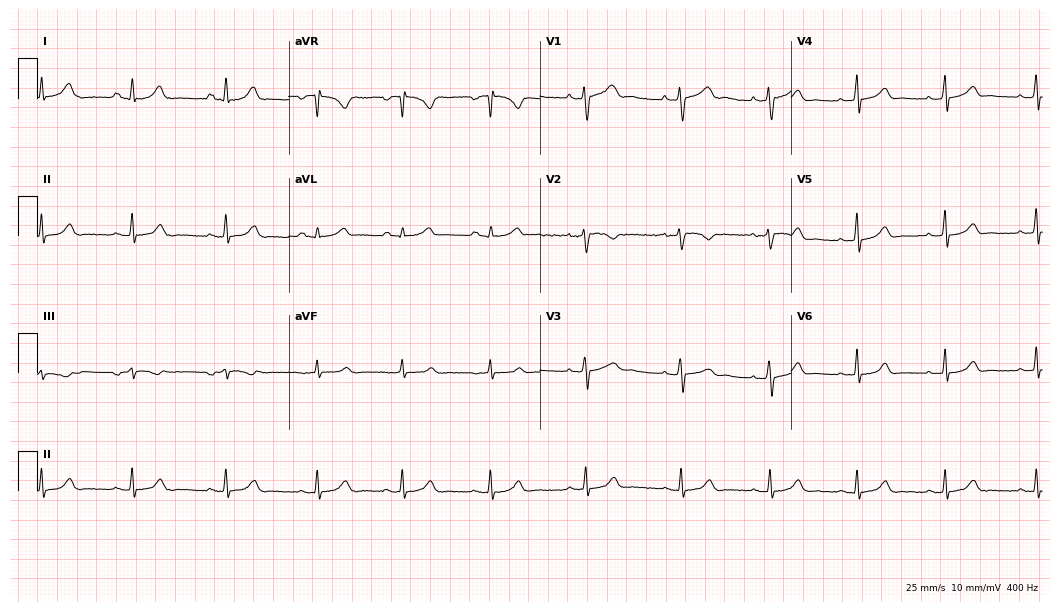
Standard 12-lead ECG recorded from a 29-year-old female patient (10.2-second recording at 400 Hz). Read as a normal ECG.